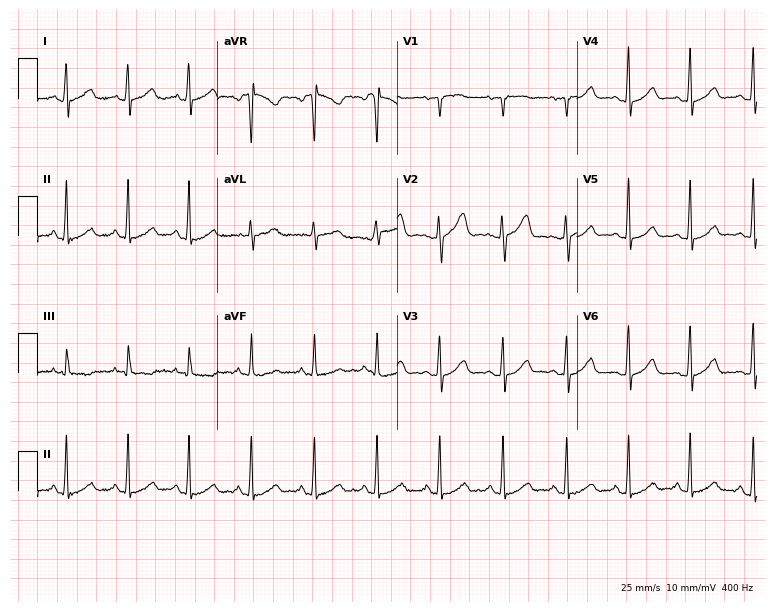
Standard 12-lead ECG recorded from a 41-year-old woman. Read as a normal ECG.